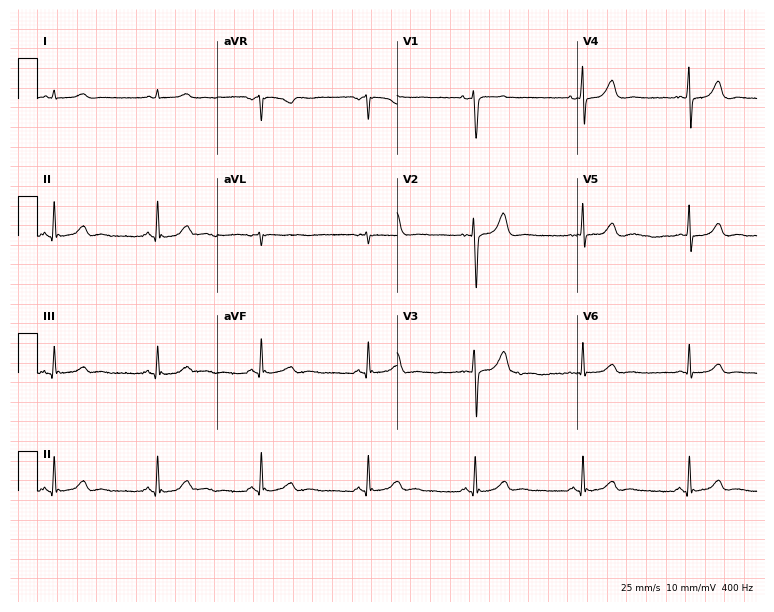
Resting 12-lead electrocardiogram. Patient: a man, 52 years old. Read as a normal ECG.